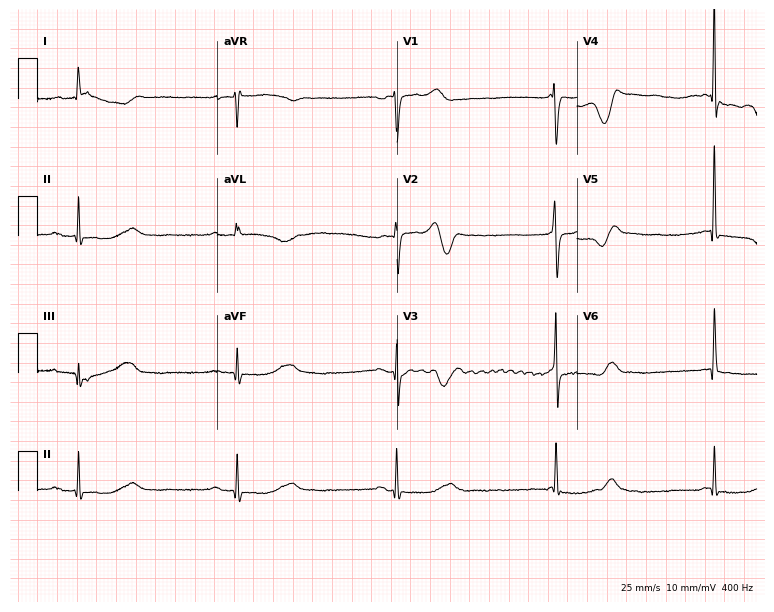
ECG (7.3-second recording at 400 Hz) — a 75-year-old woman. Findings include sinus bradycardia (a sinus rate of 50 beats per minute or less).